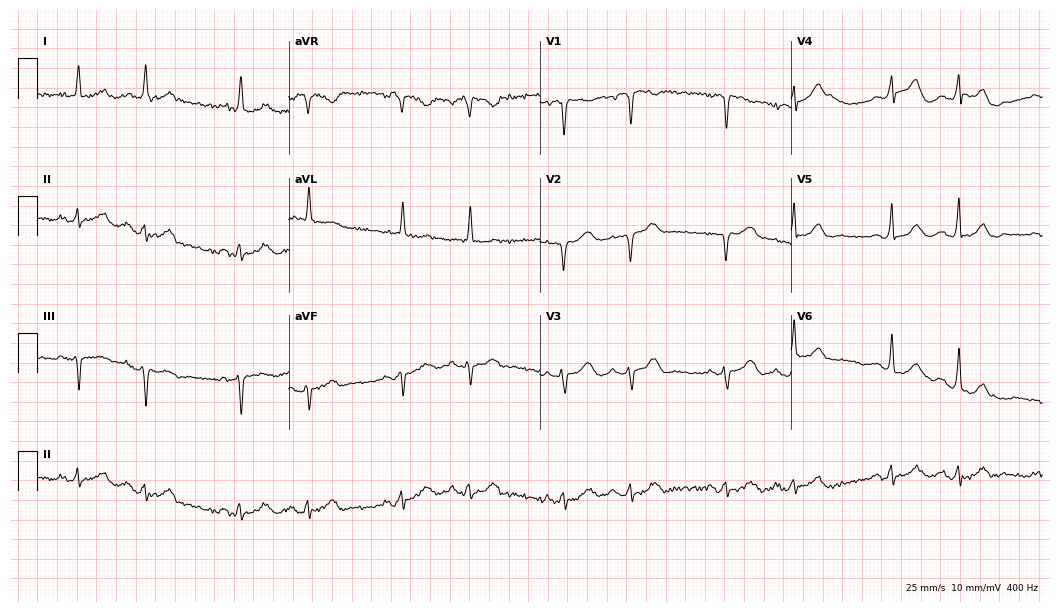
ECG (10.2-second recording at 400 Hz) — a woman, 84 years old. Screened for six findings — first-degree AV block, right bundle branch block (RBBB), left bundle branch block (LBBB), sinus bradycardia, atrial fibrillation (AF), sinus tachycardia — none is recorded.